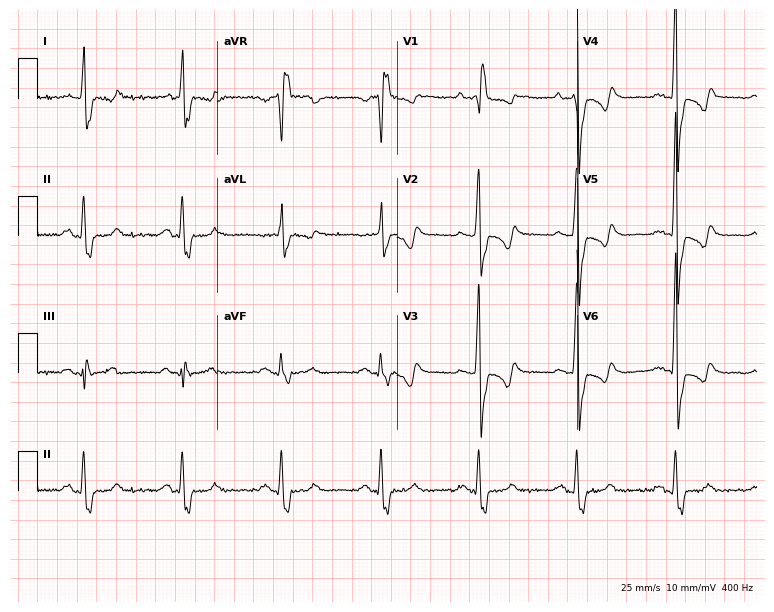
12-lead ECG from a 58-year-old man. Shows right bundle branch block (RBBB).